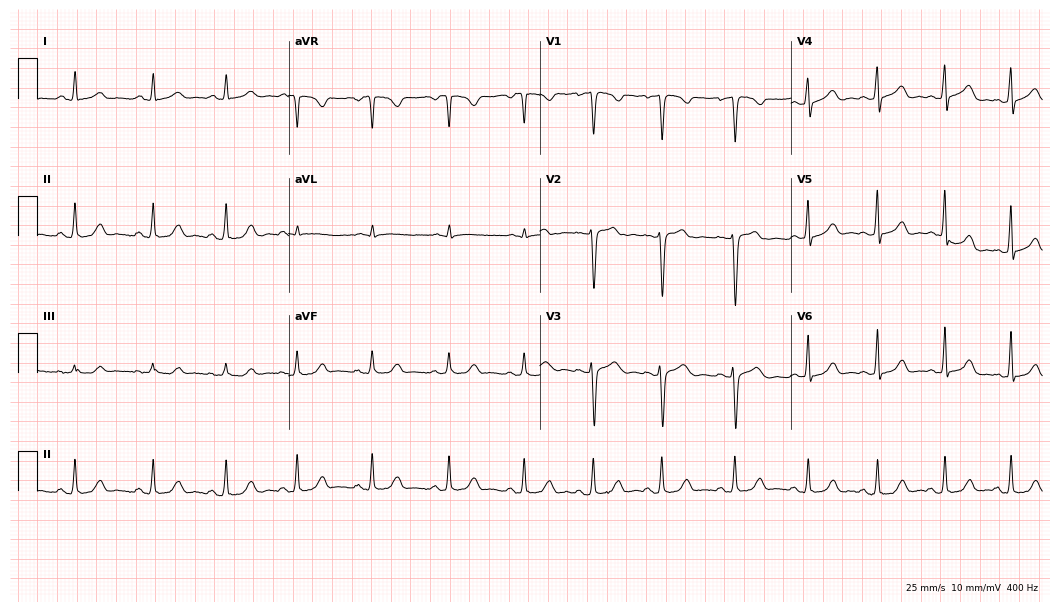
Resting 12-lead electrocardiogram. Patient: a 27-year-old female. None of these six findings is recorded: first-degree AV block, right bundle branch block (RBBB), left bundle branch block (LBBB), sinus bradycardia, atrial fibrillation (AF), sinus tachycardia.